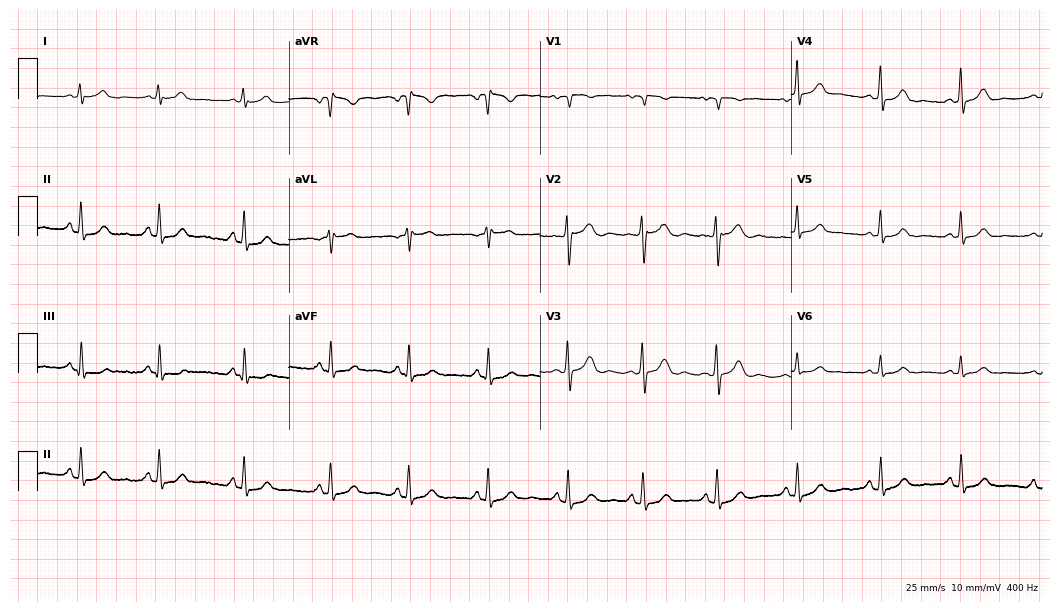
Resting 12-lead electrocardiogram. Patient: a female, 25 years old. Read as a normal ECG.